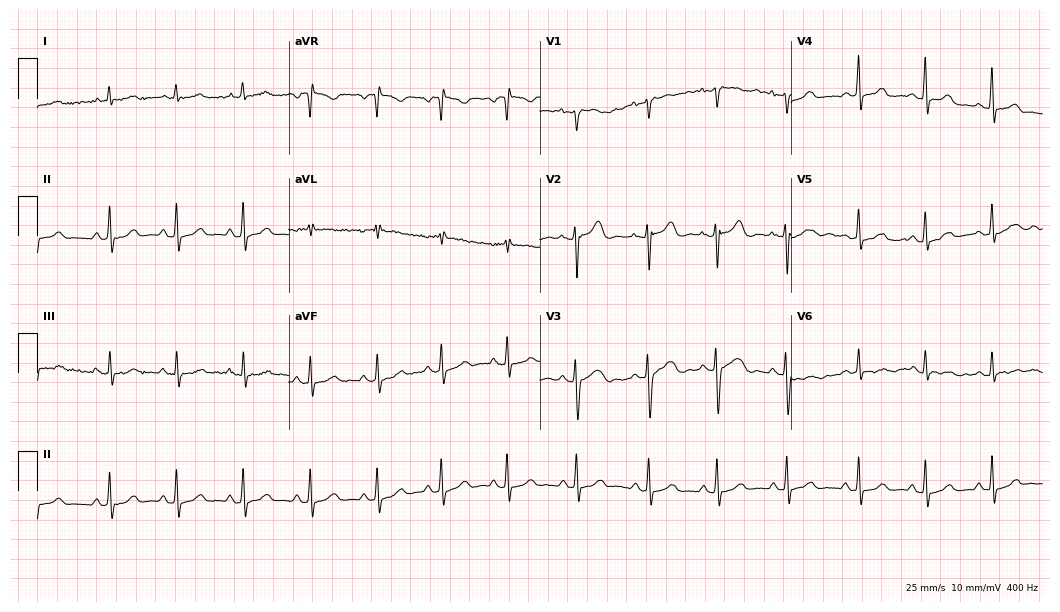
ECG (10.2-second recording at 400 Hz) — a 26-year-old female patient. Labelled as a normal ECG.